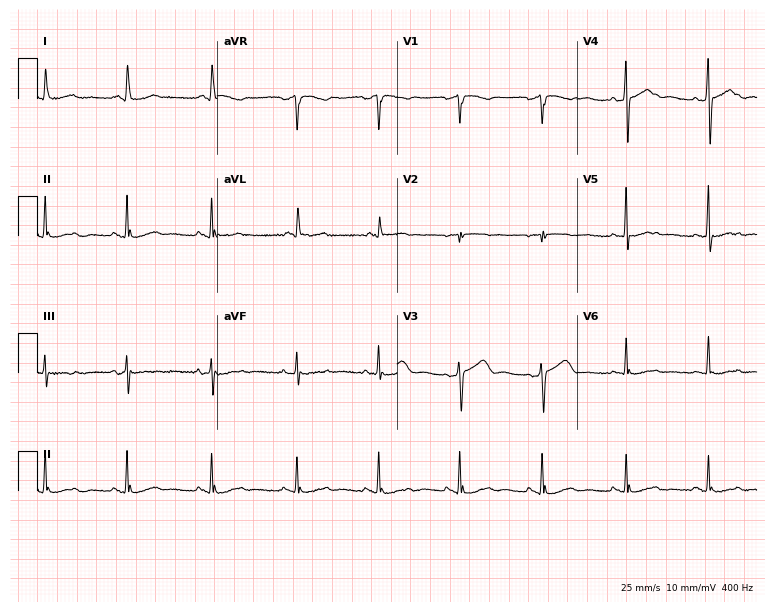
ECG — a 60-year-old woman. Labelled as a normal ECG.